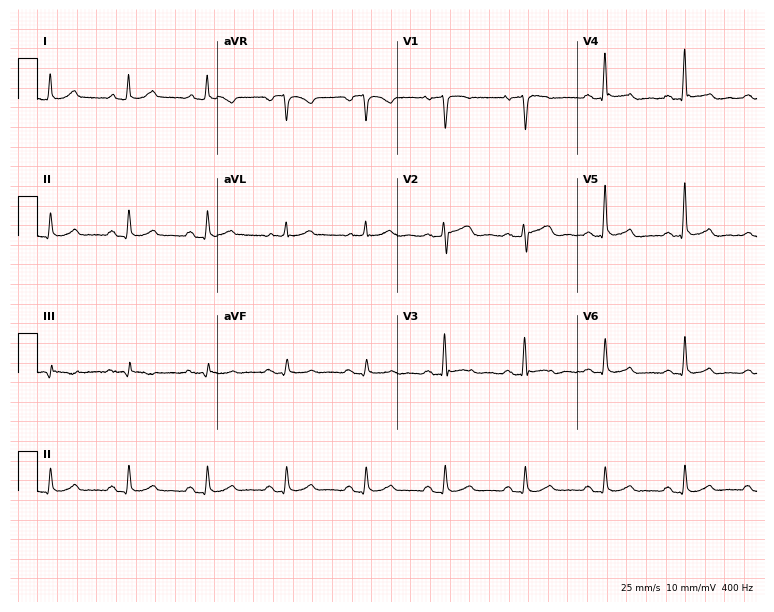
Standard 12-lead ECG recorded from a man, 56 years old. Read as a normal ECG.